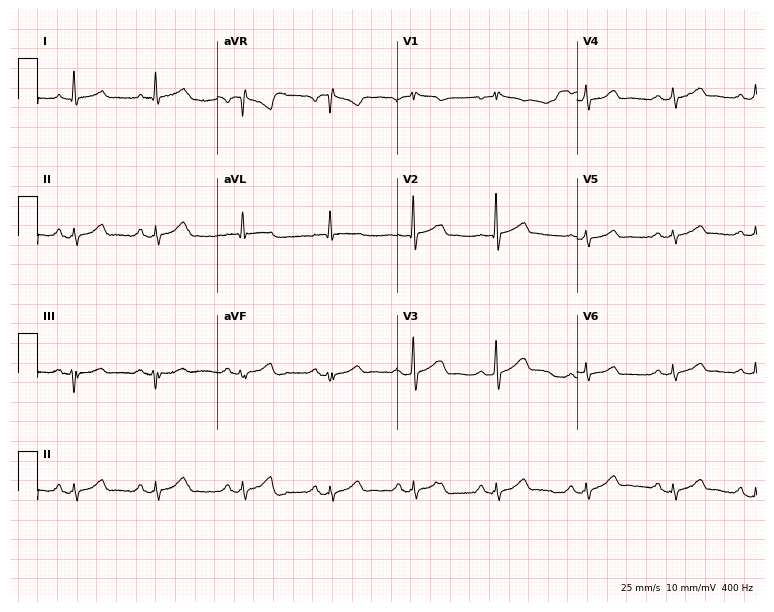
12-lead ECG from a man, 78 years old. No first-degree AV block, right bundle branch block, left bundle branch block, sinus bradycardia, atrial fibrillation or sinus tachycardia recorded for this tracing. Other findings, if any, are not listed.